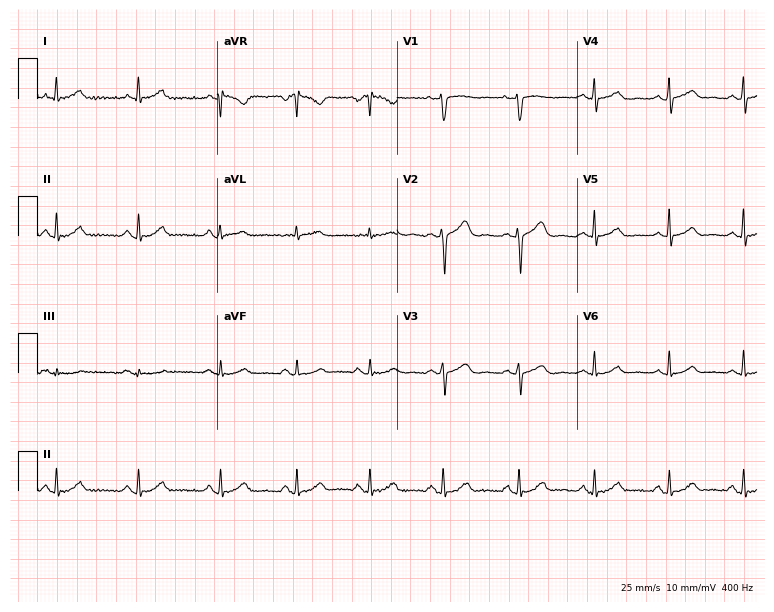
12-lead ECG from a female, 42 years old (7.3-second recording at 400 Hz). Recorded interpretation: within normal limits.